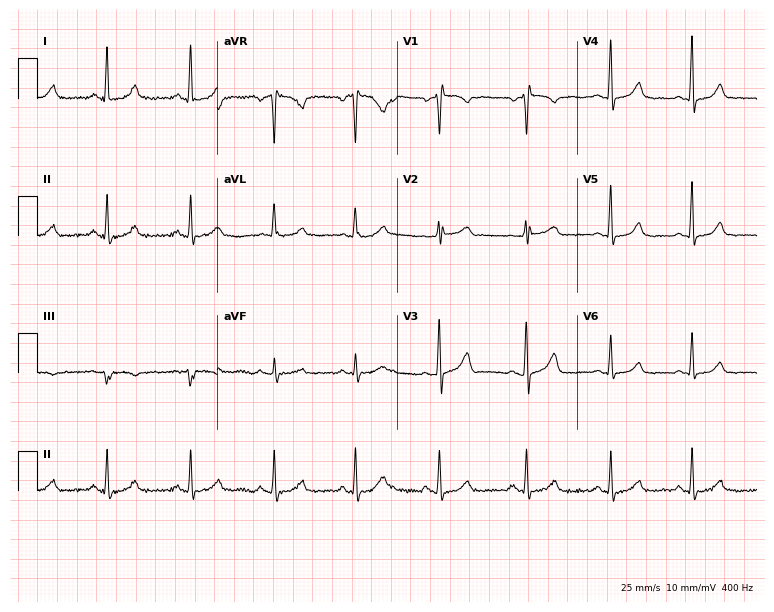
ECG — a woman, 42 years old. Screened for six findings — first-degree AV block, right bundle branch block, left bundle branch block, sinus bradycardia, atrial fibrillation, sinus tachycardia — none is recorded.